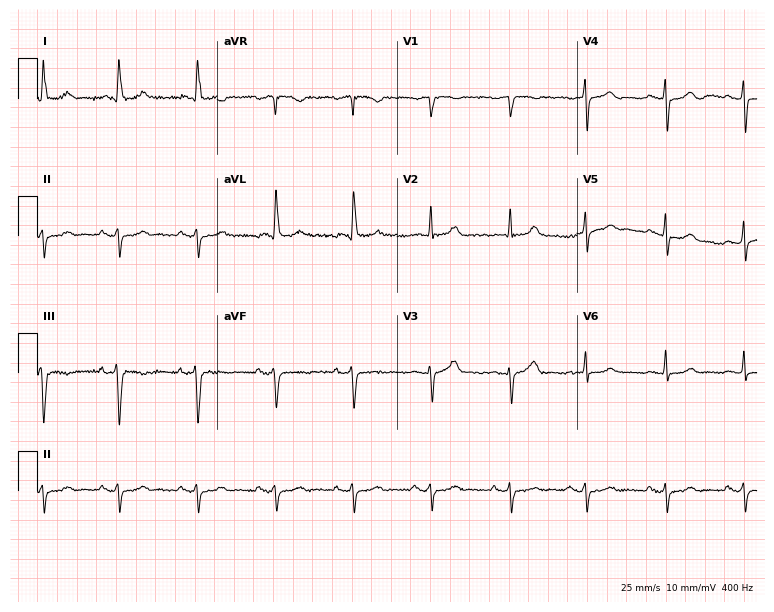
12-lead ECG from a 65-year-old female. Screened for six findings — first-degree AV block, right bundle branch block, left bundle branch block, sinus bradycardia, atrial fibrillation, sinus tachycardia — none is recorded.